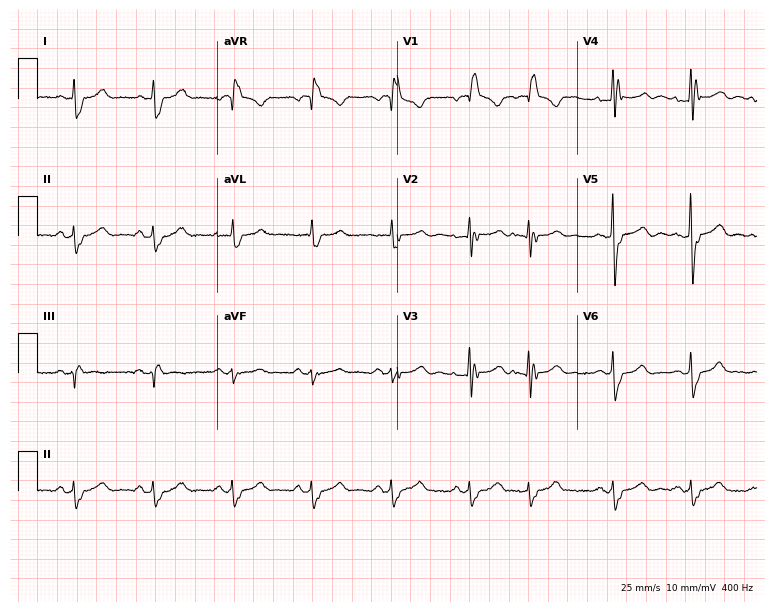
Electrocardiogram (7.3-second recording at 400 Hz), a female patient, 59 years old. Interpretation includes right bundle branch block (RBBB).